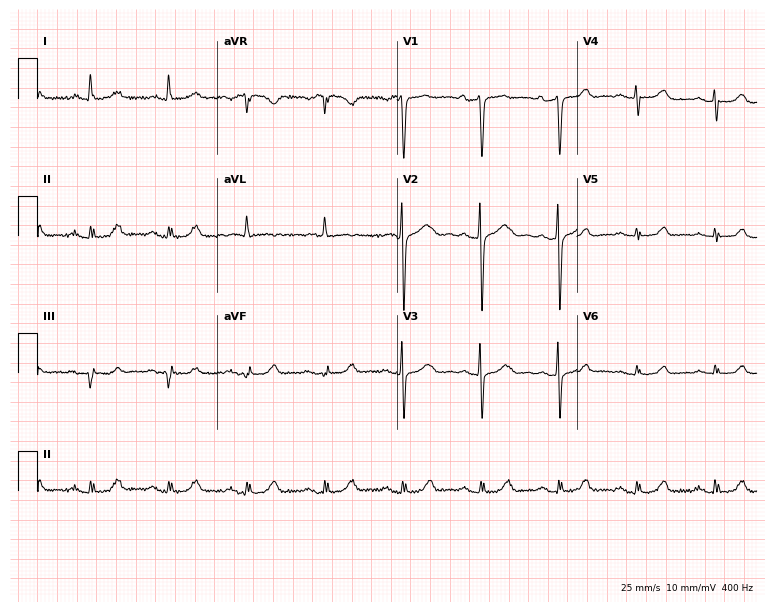
12-lead ECG from a female patient, 71 years old. Recorded interpretation: within normal limits.